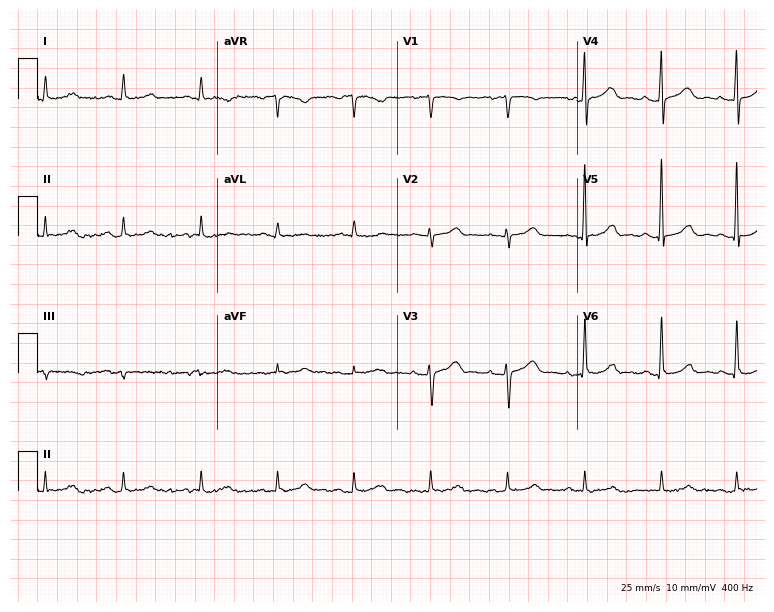
12-lead ECG from a 67-year-old female. Labelled as a normal ECG.